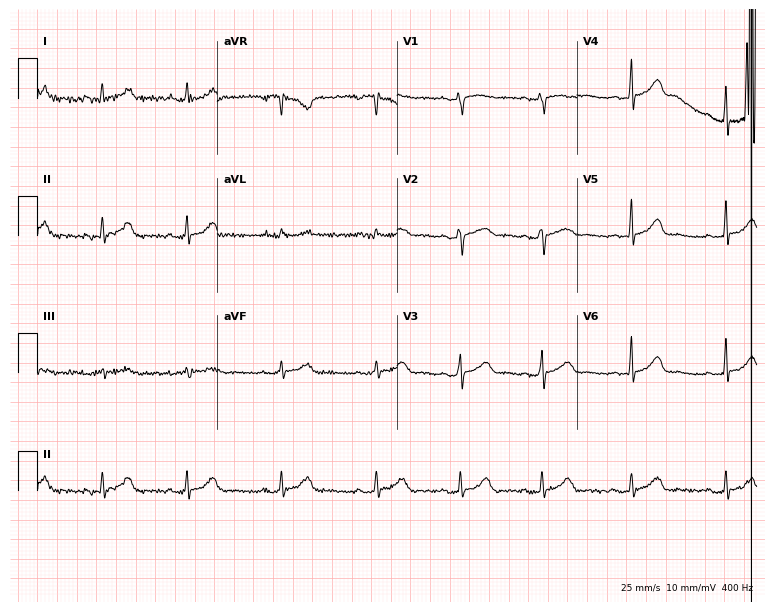
Standard 12-lead ECG recorded from a 30-year-old female patient. Read as a normal ECG.